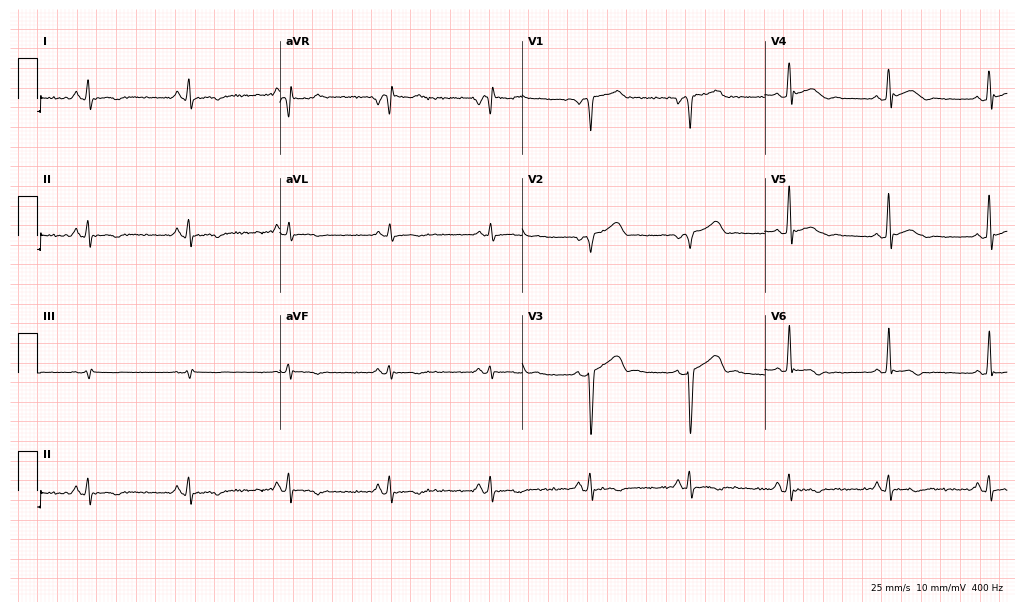
12-lead ECG from a male patient, 80 years old. No first-degree AV block, right bundle branch block, left bundle branch block, sinus bradycardia, atrial fibrillation or sinus tachycardia recorded for this tracing.